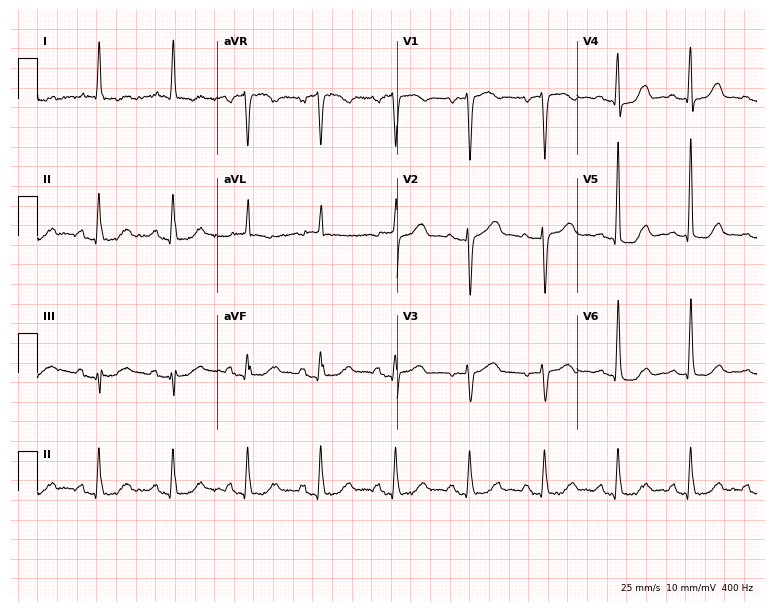
12-lead ECG from a woman, 71 years old (7.3-second recording at 400 Hz). No first-degree AV block, right bundle branch block, left bundle branch block, sinus bradycardia, atrial fibrillation or sinus tachycardia recorded for this tracing. Only these six findings were labelled.